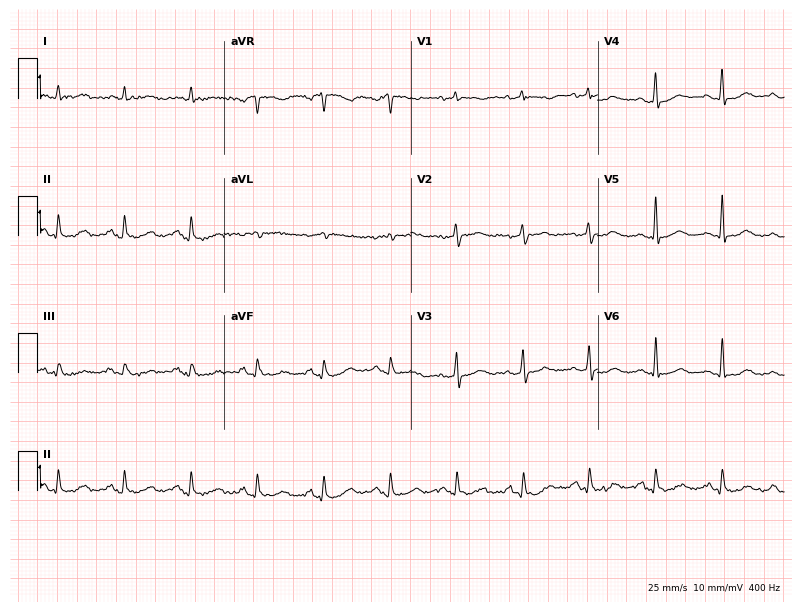
Resting 12-lead electrocardiogram (7.6-second recording at 400 Hz). Patient: a male, 85 years old. None of these six findings is recorded: first-degree AV block, right bundle branch block, left bundle branch block, sinus bradycardia, atrial fibrillation, sinus tachycardia.